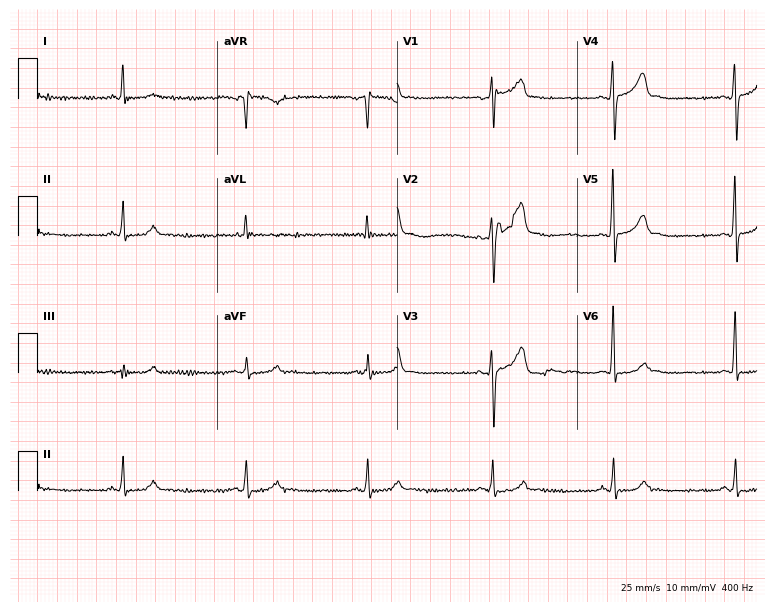
Resting 12-lead electrocardiogram. Patient: a male, 57 years old. The tracing shows sinus bradycardia (a sinus rate of 50 beats per minute or less).